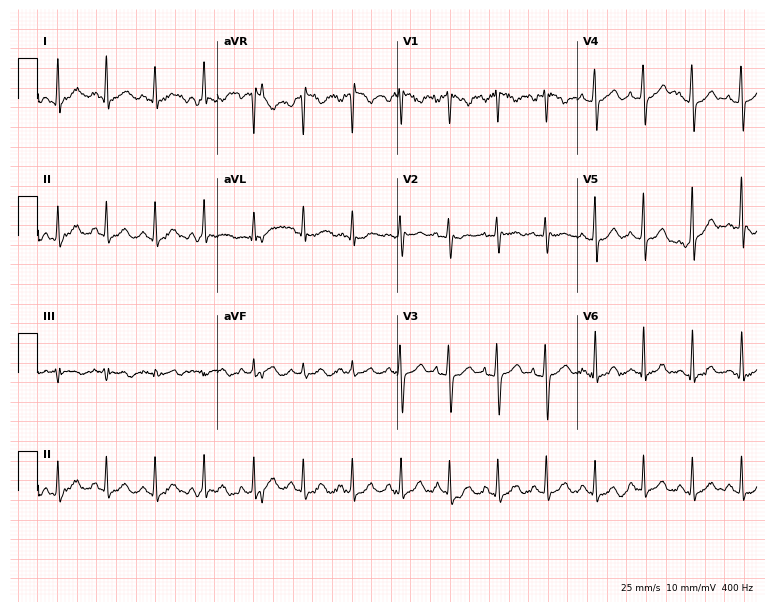
Resting 12-lead electrocardiogram. Patient: a 23-year-old female. The tracing shows sinus tachycardia (a sinus rate of 100 beats per minute or more).